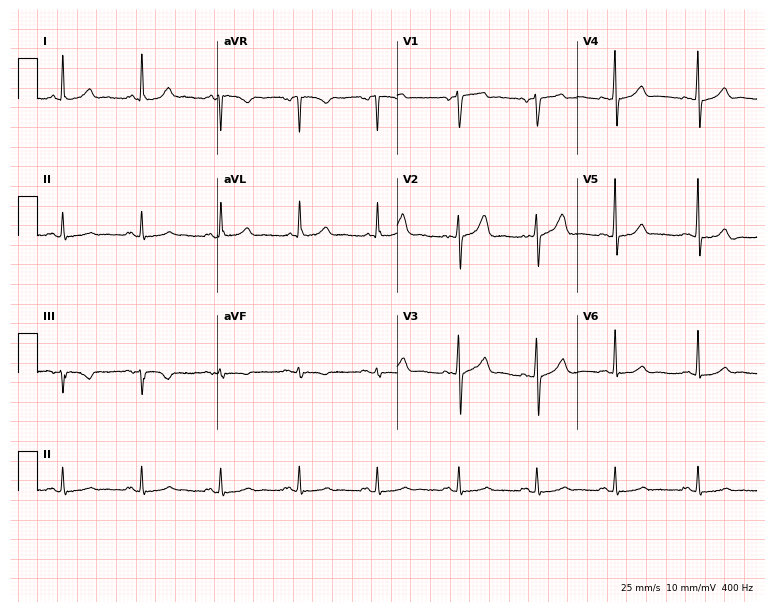
12-lead ECG from a man, 77 years old. No first-degree AV block, right bundle branch block, left bundle branch block, sinus bradycardia, atrial fibrillation or sinus tachycardia recorded for this tracing. Findings outside these six are not listed.